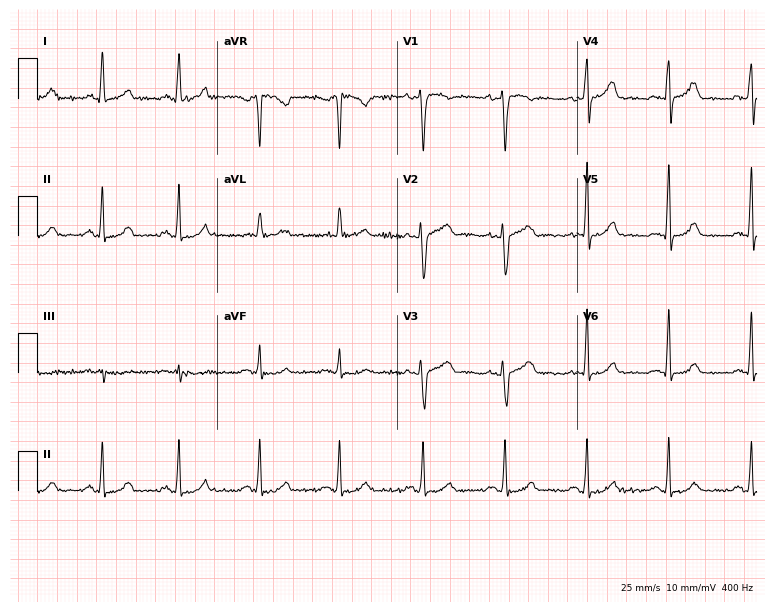
Electrocardiogram, a 46-year-old woman. Of the six screened findings (first-degree AV block, right bundle branch block, left bundle branch block, sinus bradycardia, atrial fibrillation, sinus tachycardia), none is recorded.